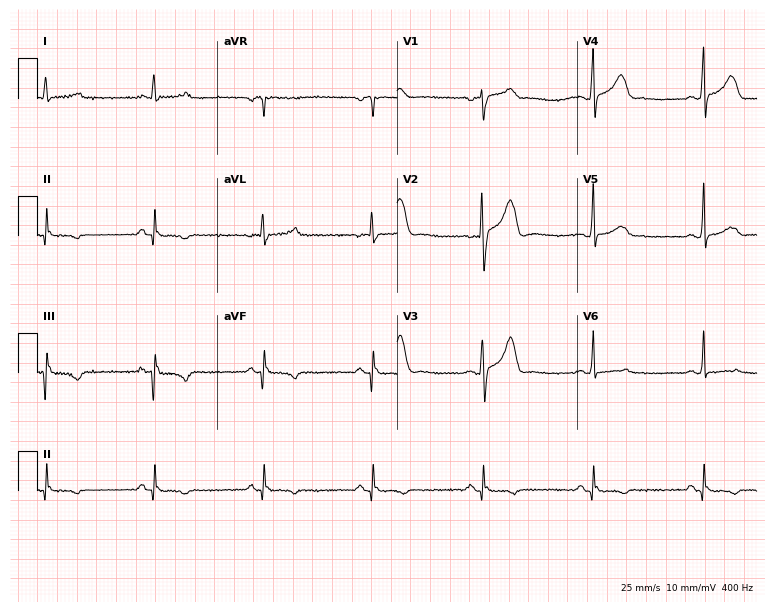
Electrocardiogram, a 62-year-old male patient. Of the six screened findings (first-degree AV block, right bundle branch block (RBBB), left bundle branch block (LBBB), sinus bradycardia, atrial fibrillation (AF), sinus tachycardia), none is recorded. Other findings, if any, are not listed.